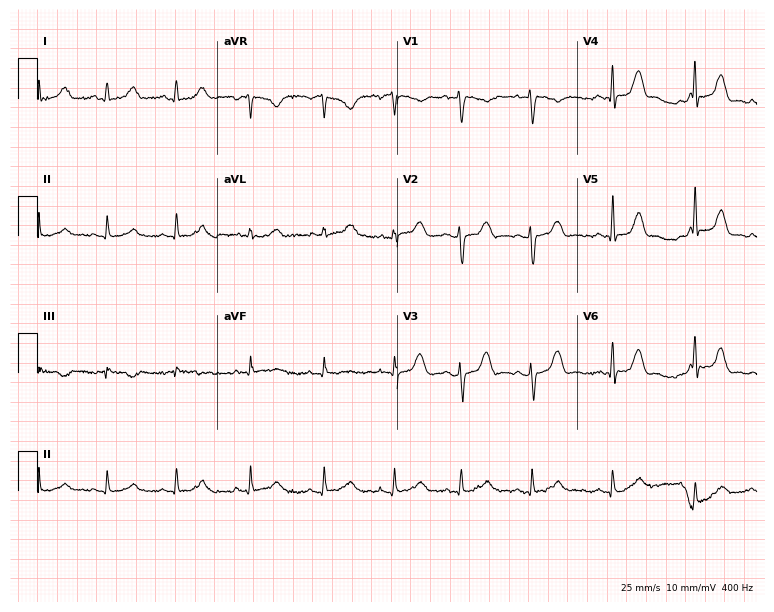
12-lead ECG from a woman, 20 years old. Screened for six findings — first-degree AV block, right bundle branch block, left bundle branch block, sinus bradycardia, atrial fibrillation, sinus tachycardia — none is recorded. Findings outside these six are not listed.